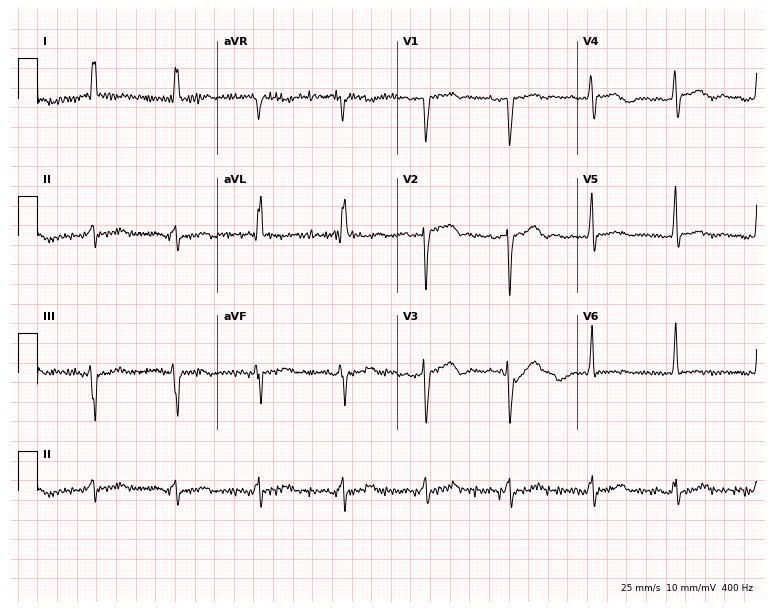
12-lead ECG from a woman, 76 years old (7.3-second recording at 400 Hz). No first-degree AV block, right bundle branch block, left bundle branch block, sinus bradycardia, atrial fibrillation or sinus tachycardia recorded for this tracing. Other findings, if any, are not listed.